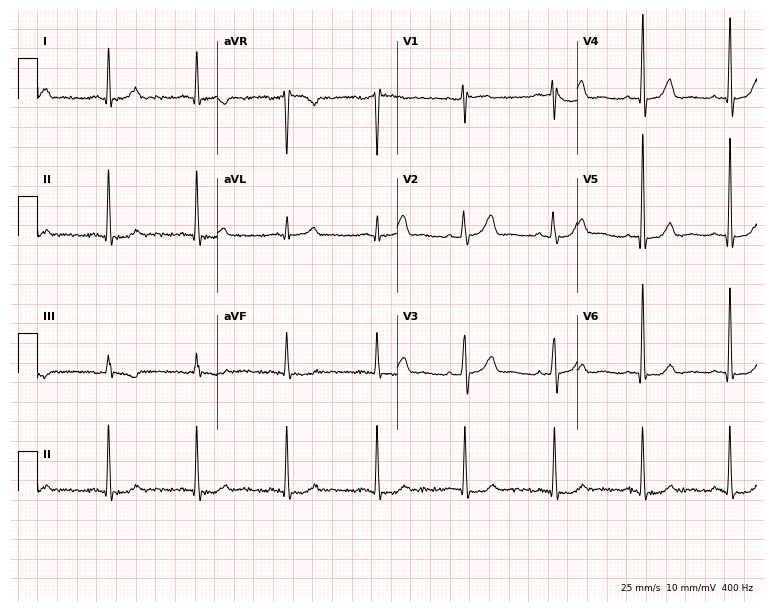
Electrocardiogram (7.3-second recording at 400 Hz), a female, 61 years old. Of the six screened findings (first-degree AV block, right bundle branch block, left bundle branch block, sinus bradycardia, atrial fibrillation, sinus tachycardia), none is recorded.